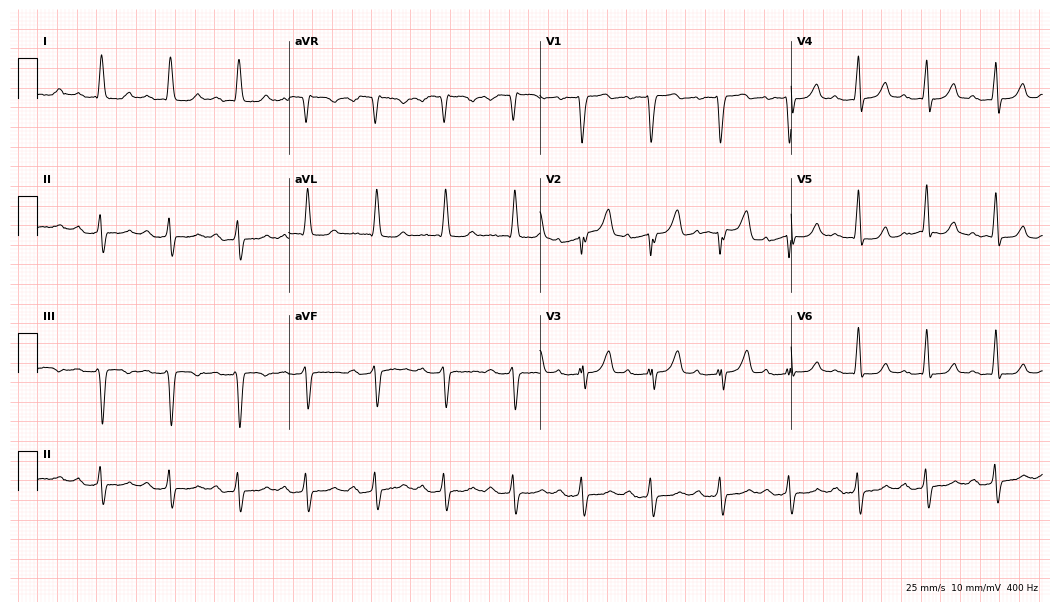
12-lead ECG (10.2-second recording at 400 Hz) from a 79-year-old woman. Findings include first-degree AV block.